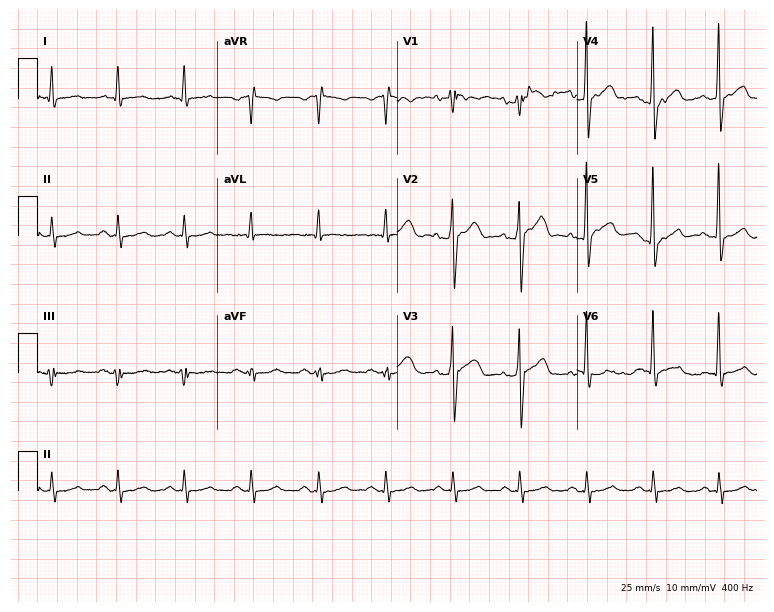
ECG — a male, 50 years old. Labelled as a normal ECG.